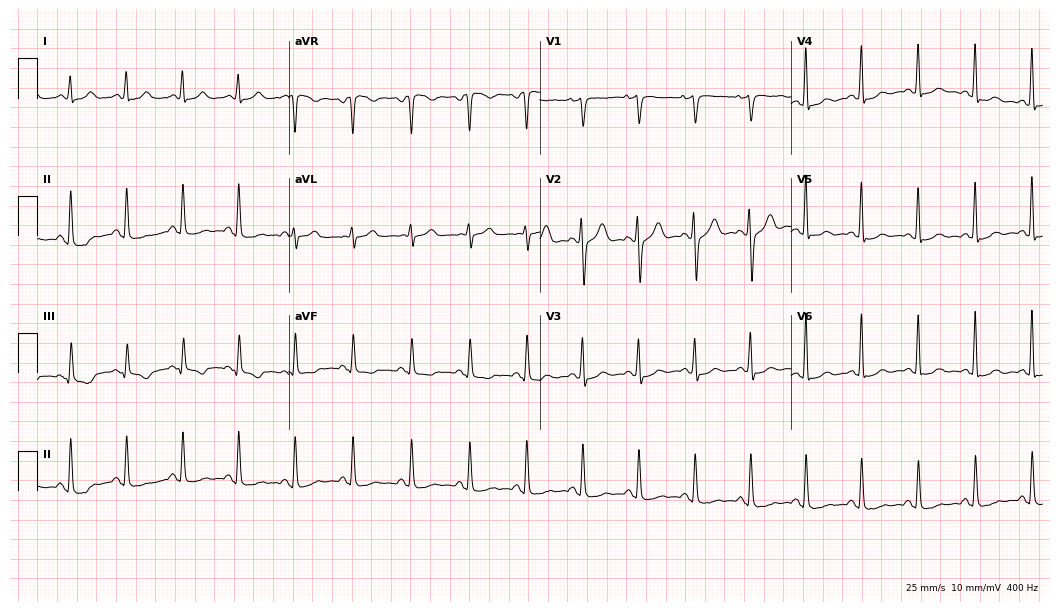
Standard 12-lead ECG recorded from a female, 47 years old. None of these six findings is recorded: first-degree AV block, right bundle branch block, left bundle branch block, sinus bradycardia, atrial fibrillation, sinus tachycardia.